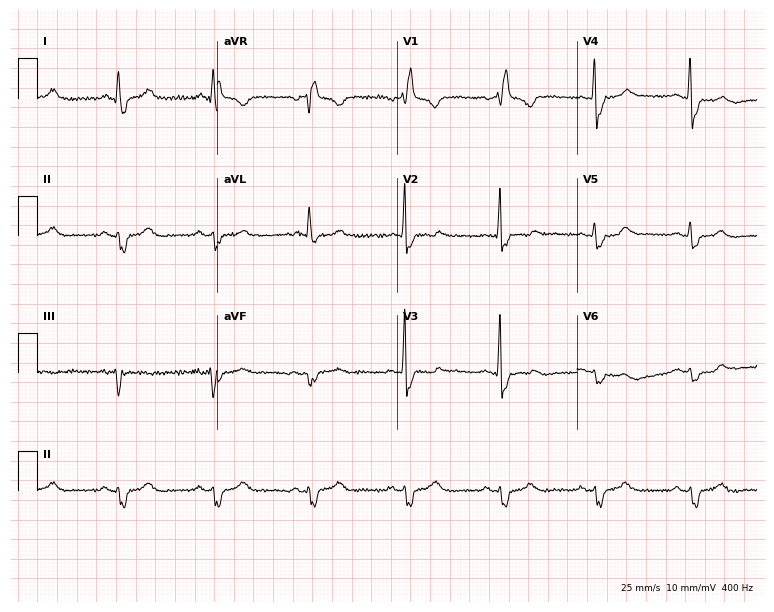
Resting 12-lead electrocardiogram. Patient: a woman, 53 years old. The tracing shows right bundle branch block.